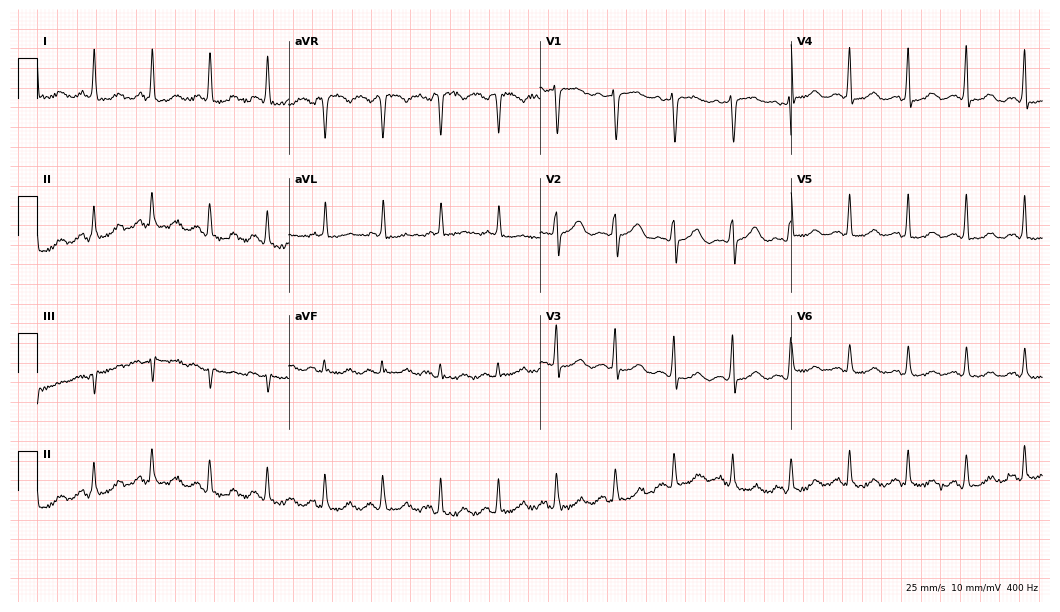
Resting 12-lead electrocardiogram. Patient: a man, 58 years old. The tracing shows sinus tachycardia (a sinus rate of 100 beats per minute or more).